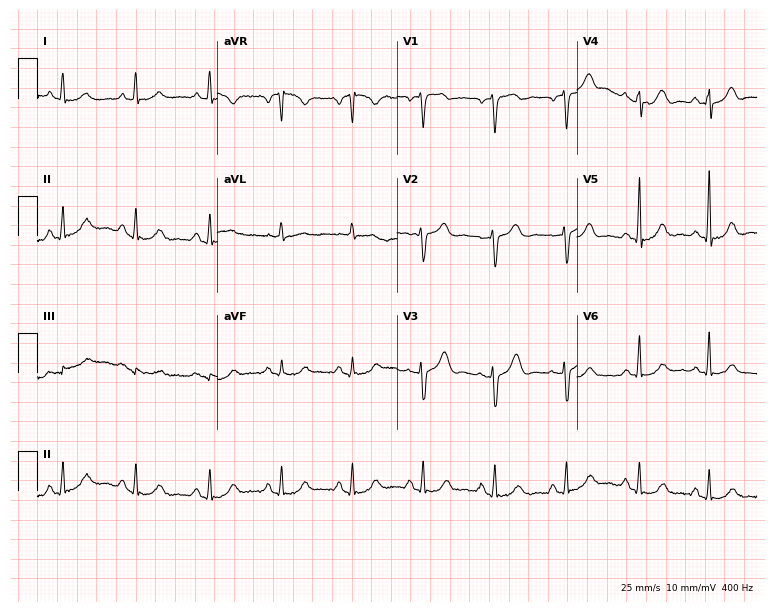
Standard 12-lead ECG recorded from a 68-year-old female (7.3-second recording at 400 Hz). Read as a normal ECG.